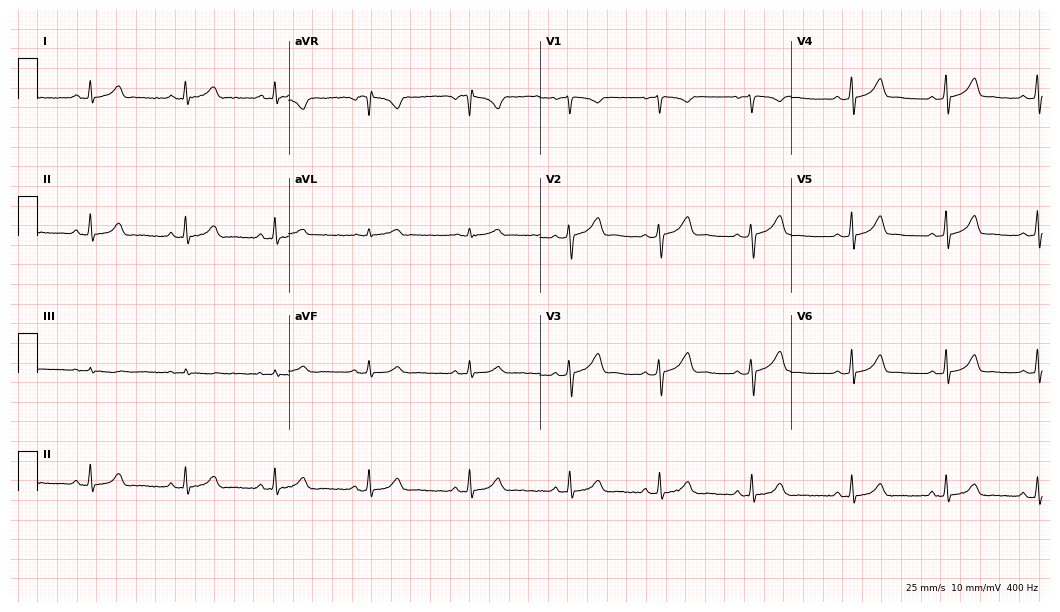
Standard 12-lead ECG recorded from a 28-year-old woman. Read as a normal ECG.